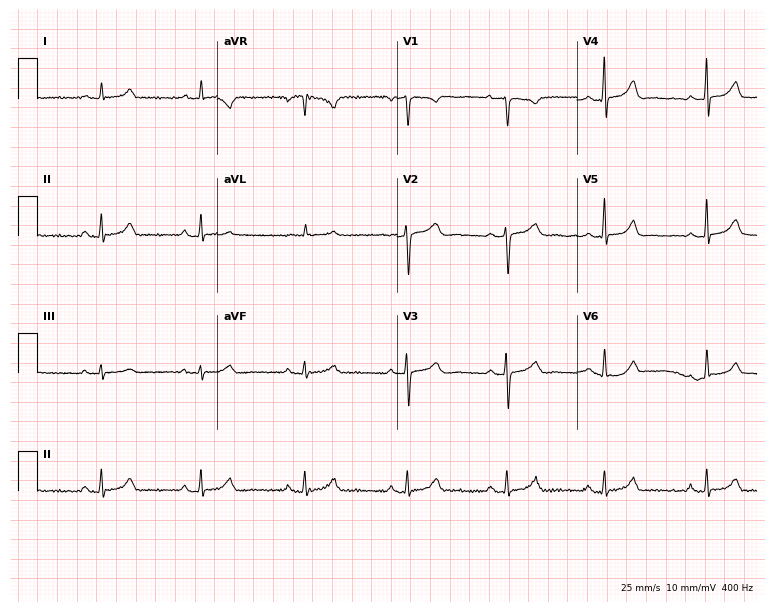
Resting 12-lead electrocardiogram. Patient: a woman, 56 years old. Read as a normal ECG.